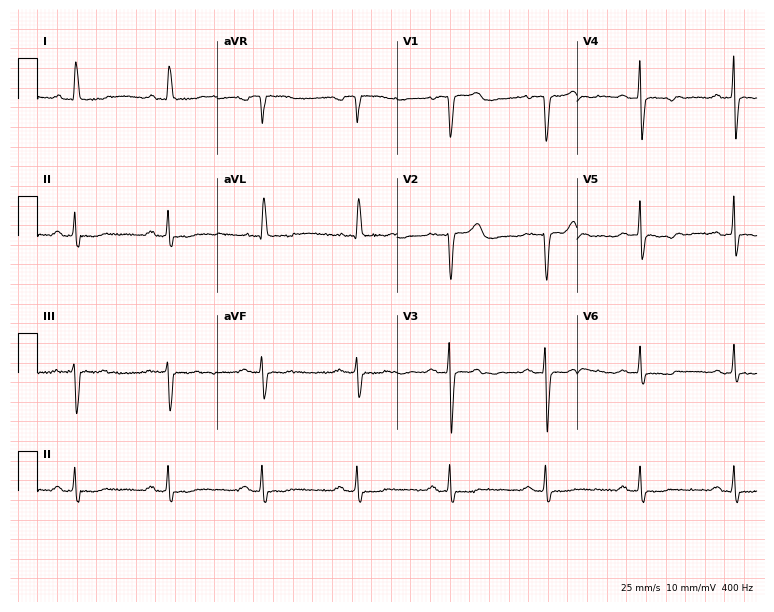
Standard 12-lead ECG recorded from a female patient, 72 years old (7.3-second recording at 400 Hz). None of these six findings is recorded: first-degree AV block, right bundle branch block, left bundle branch block, sinus bradycardia, atrial fibrillation, sinus tachycardia.